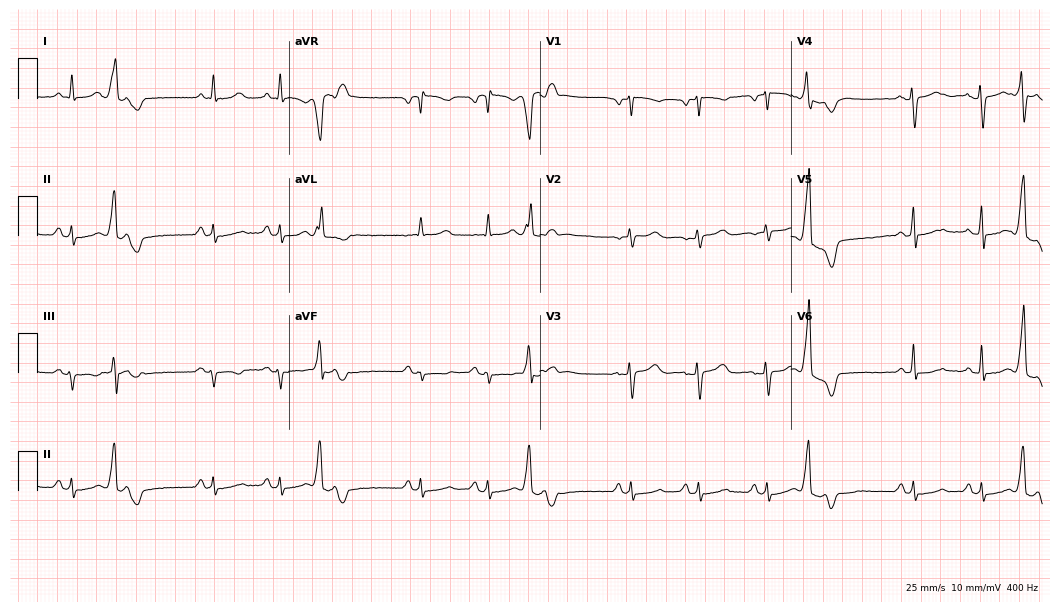
Resting 12-lead electrocardiogram (10.2-second recording at 400 Hz). Patient: a 41-year-old woman. None of these six findings is recorded: first-degree AV block, right bundle branch block (RBBB), left bundle branch block (LBBB), sinus bradycardia, atrial fibrillation (AF), sinus tachycardia.